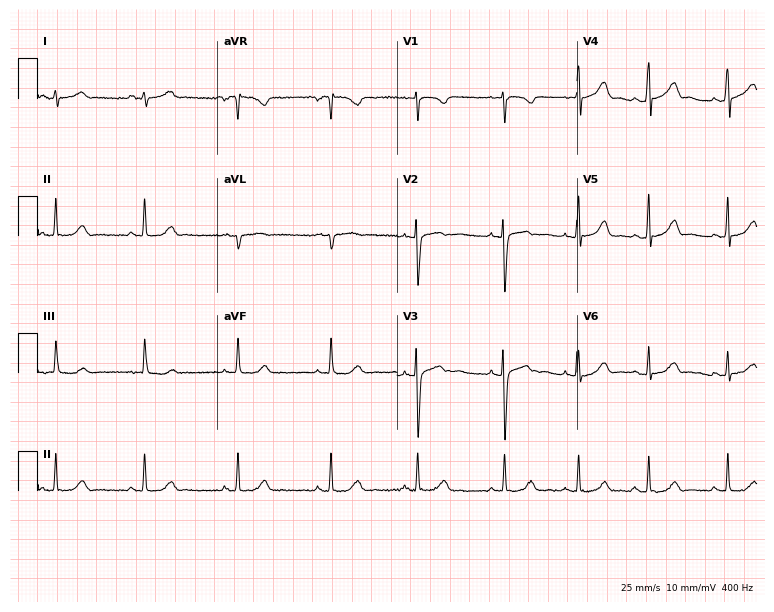
ECG (7.3-second recording at 400 Hz) — a woman, 22 years old. Labelled as a normal ECG.